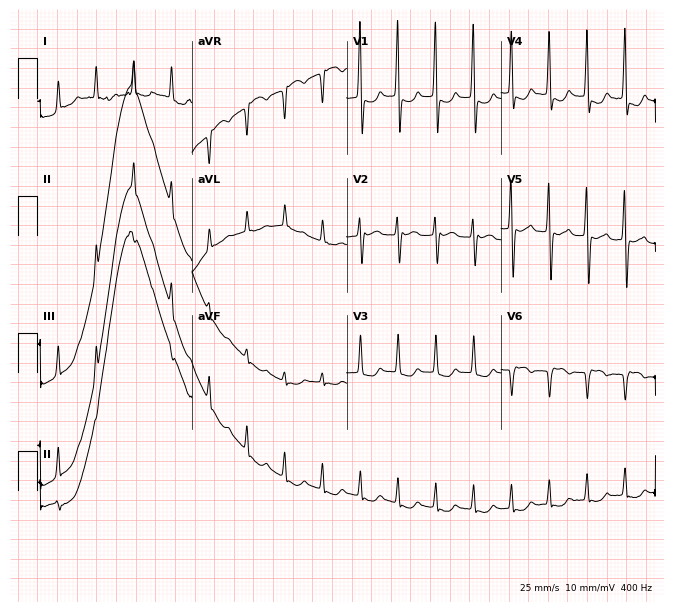
12-lead ECG (6.3-second recording at 400 Hz) from a 76-year-old female. Screened for six findings — first-degree AV block, right bundle branch block, left bundle branch block, sinus bradycardia, atrial fibrillation, sinus tachycardia — none is recorded.